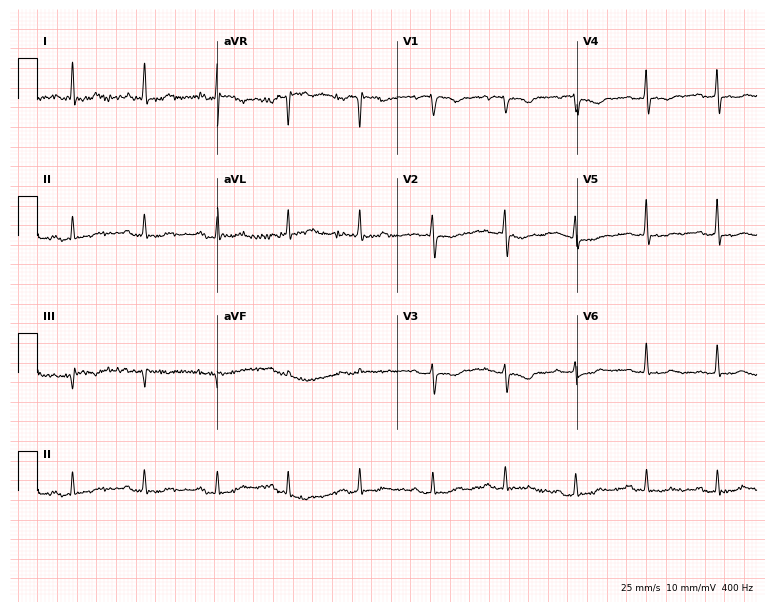
12-lead ECG (7.3-second recording at 400 Hz) from a woman, 79 years old. Screened for six findings — first-degree AV block, right bundle branch block, left bundle branch block, sinus bradycardia, atrial fibrillation, sinus tachycardia — none is recorded. Other findings, if any, are not listed.